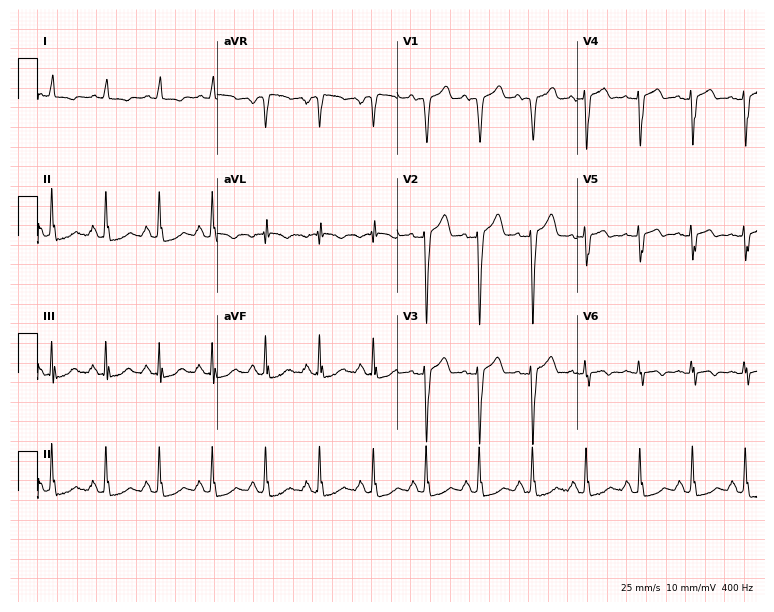
Electrocardiogram (7.3-second recording at 400 Hz), a male, 73 years old. Interpretation includes sinus tachycardia (a sinus rate of 100 beats per minute or more).